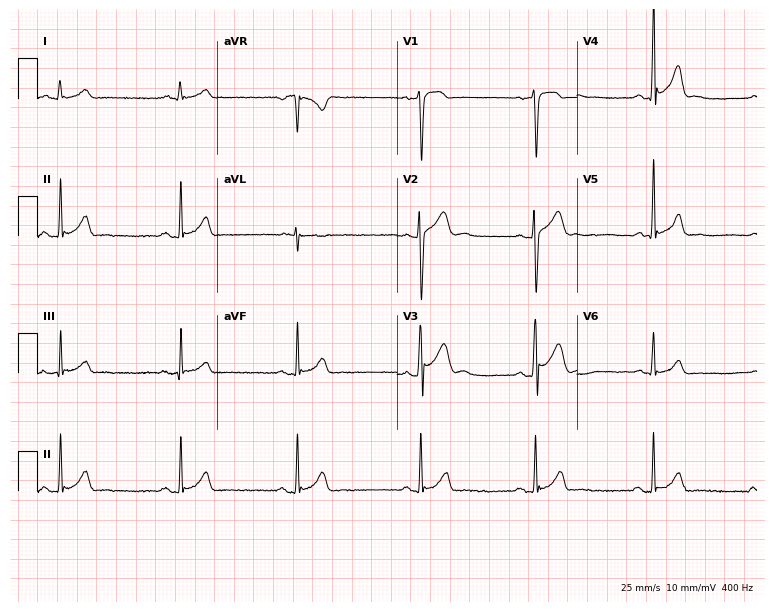
Electrocardiogram, a 21-year-old man. Overall reading on record: normal ECG.